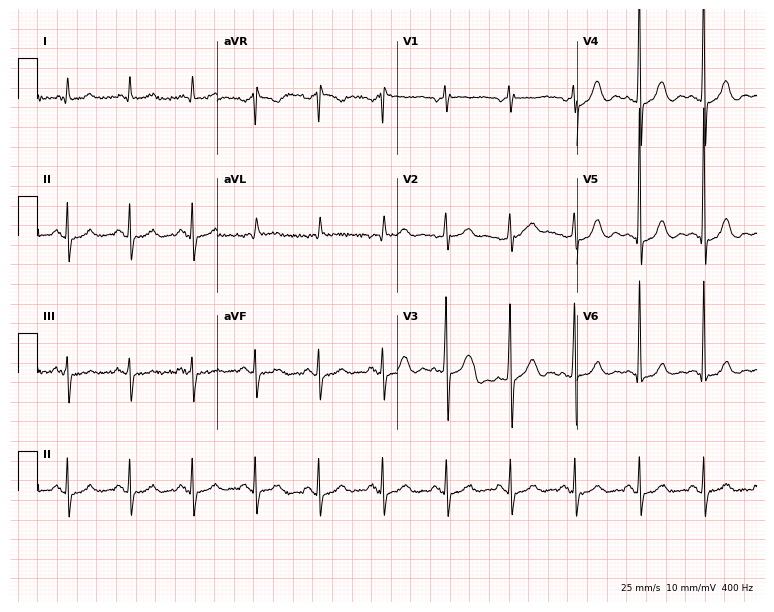
Standard 12-lead ECG recorded from a 68-year-old male. None of these six findings is recorded: first-degree AV block, right bundle branch block (RBBB), left bundle branch block (LBBB), sinus bradycardia, atrial fibrillation (AF), sinus tachycardia. Other findings, if any, are not listed.